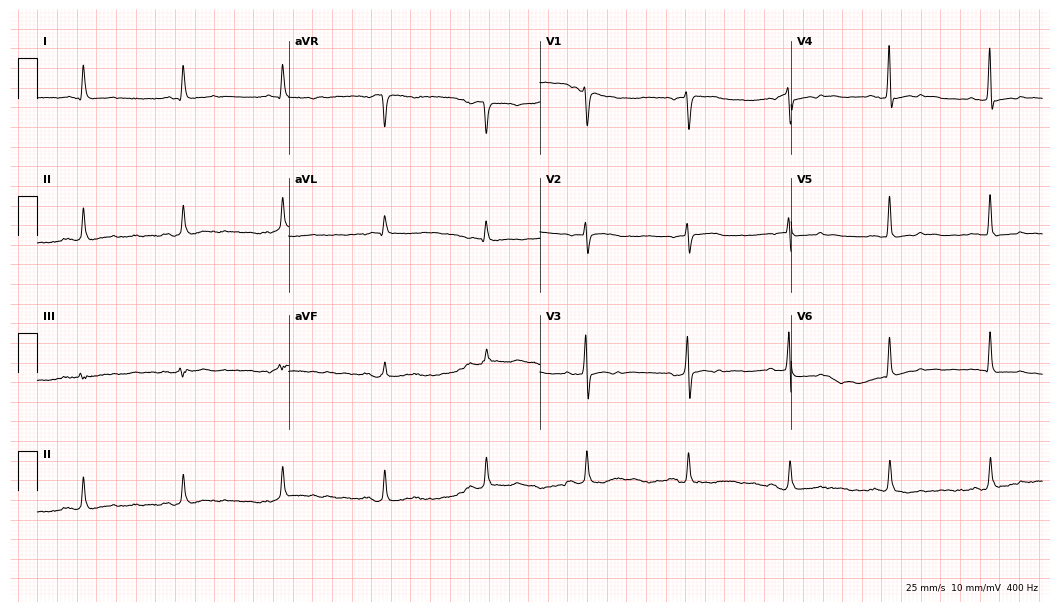
Resting 12-lead electrocardiogram (10.2-second recording at 400 Hz). Patient: a 64-year-old male. None of these six findings is recorded: first-degree AV block, right bundle branch block, left bundle branch block, sinus bradycardia, atrial fibrillation, sinus tachycardia.